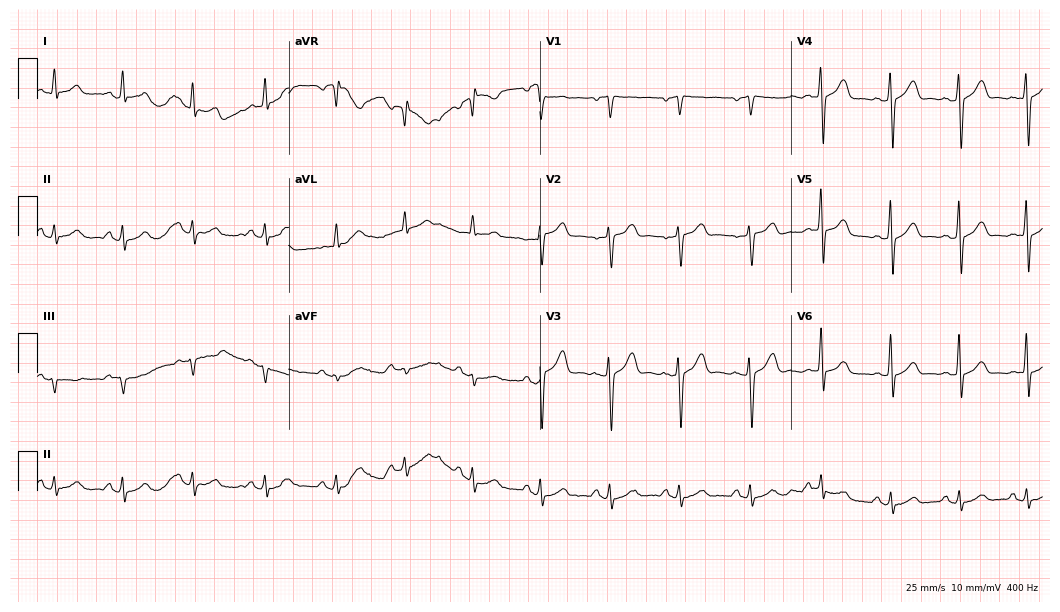
ECG — a 52-year-old male. Labelled as a normal ECG.